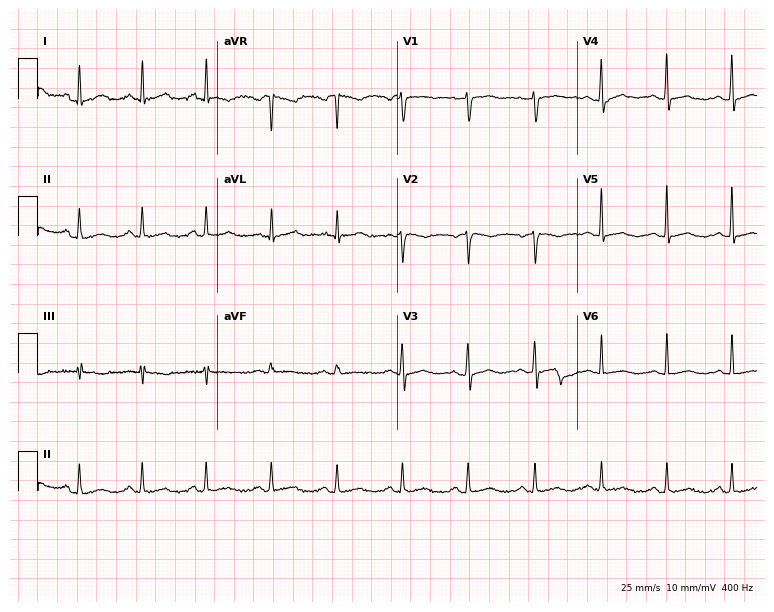
Electrocardiogram, a 52-year-old female. Of the six screened findings (first-degree AV block, right bundle branch block, left bundle branch block, sinus bradycardia, atrial fibrillation, sinus tachycardia), none is recorded.